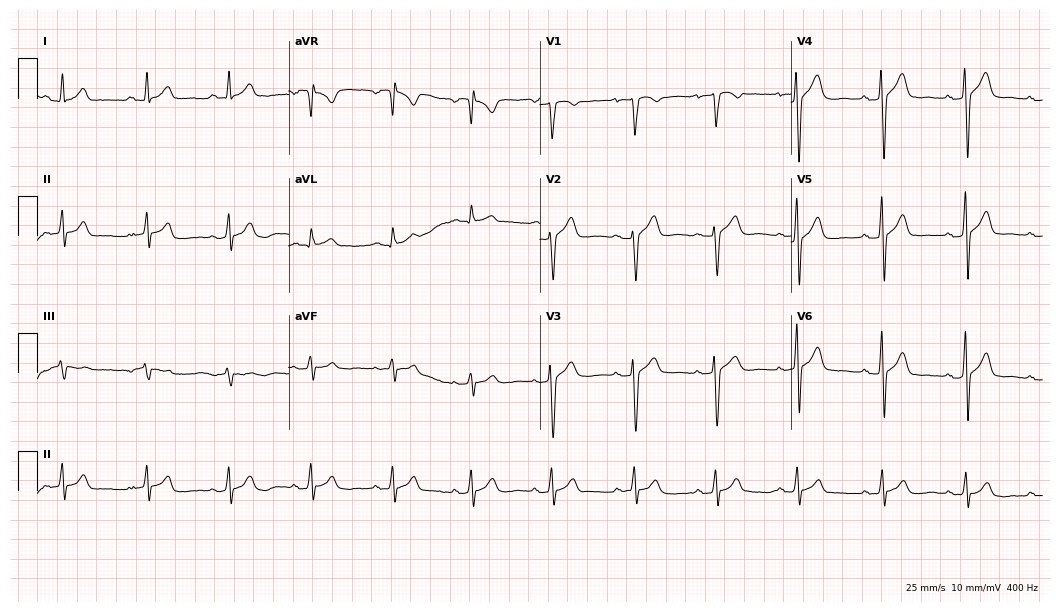
ECG — a 34-year-old male patient. Labelled as a normal ECG.